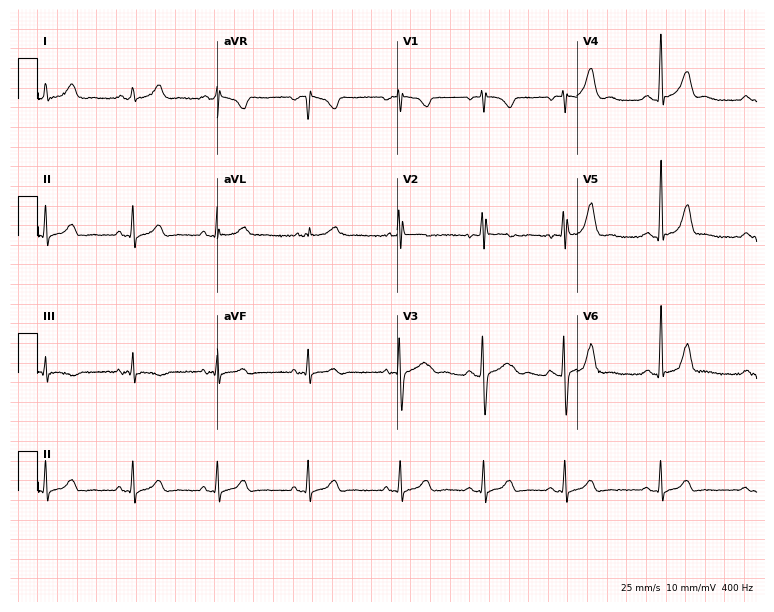
Resting 12-lead electrocardiogram (7.3-second recording at 400 Hz). Patient: a female, 23 years old. Read as a normal ECG.